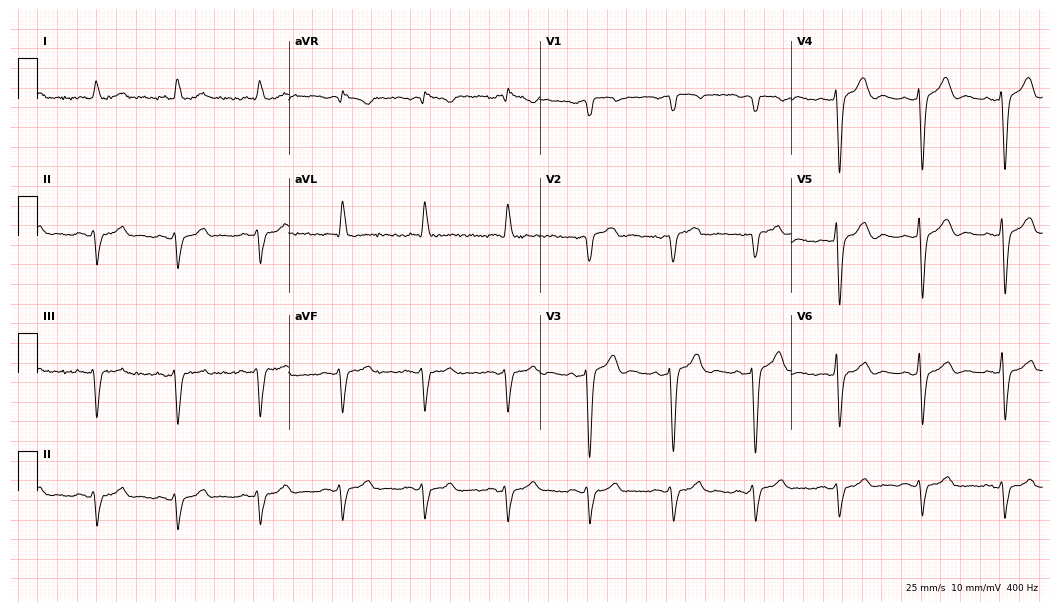
Electrocardiogram, a male patient, 76 years old. Interpretation includes right bundle branch block (RBBB).